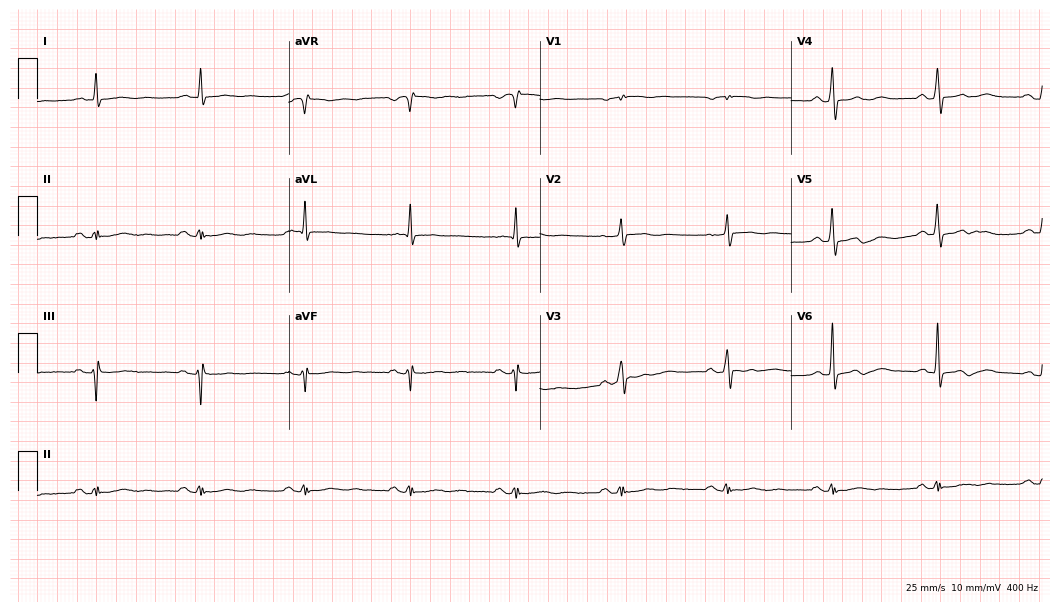
ECG — a male patient, 75 years old. Screened for six findings — first-degree AV block, right bundle branch block (RBBB), left bundle branch block (LBBB), sinus bradycardia, atrial fibrillation (AF), sinus tachycardia — none is recorded.